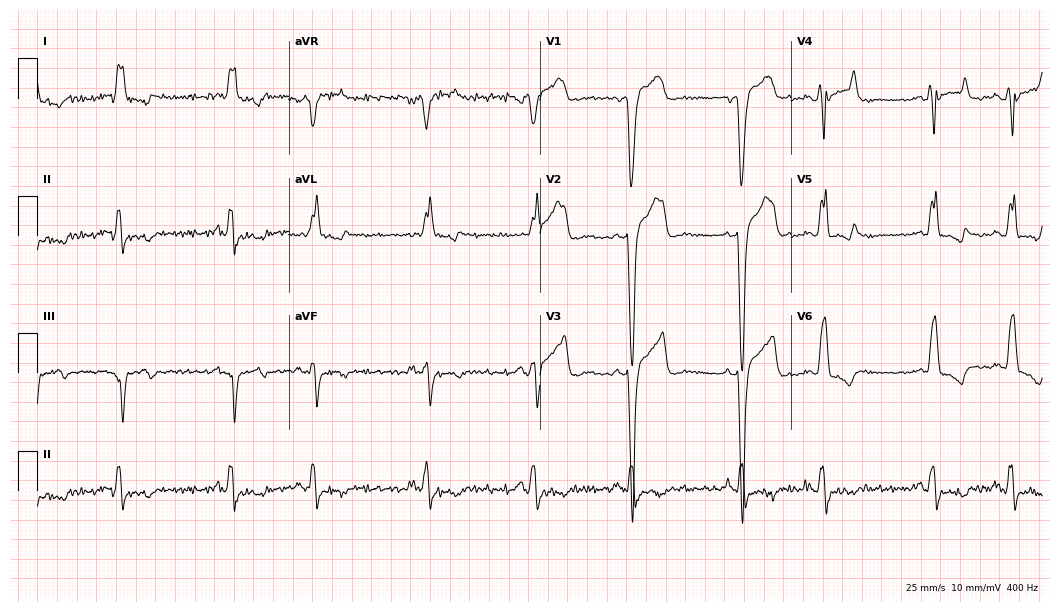
Standard 12-lead ECG recorded from a male patient, 60 years old. The tracing shows left bundle branch block (LBBB).